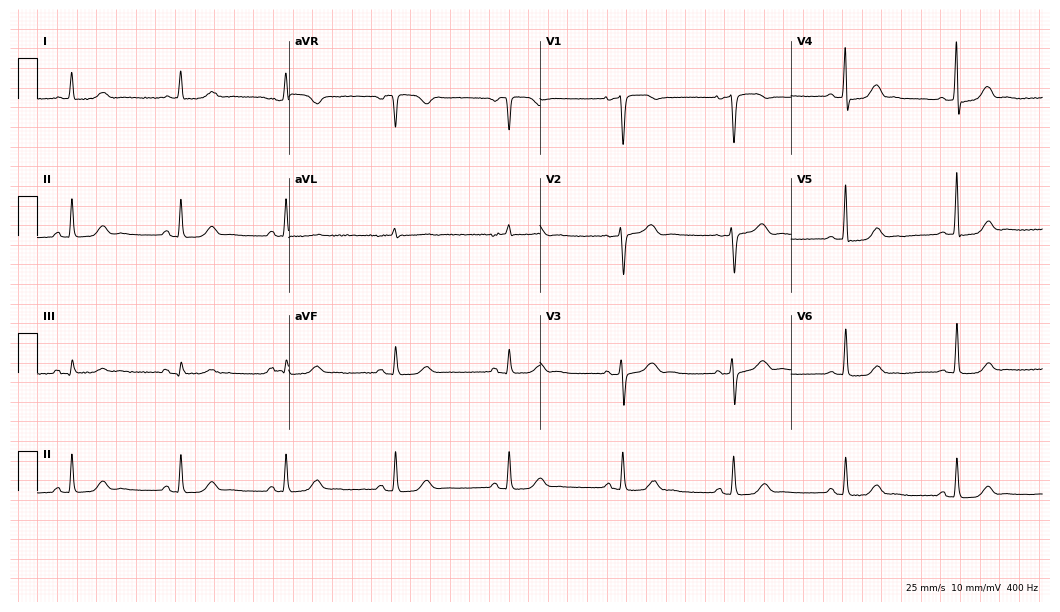
12-lead ECG from a female patient, 80 years old (10.2-second recording at 400 Hz). Recorded interpretation: within normal limits.